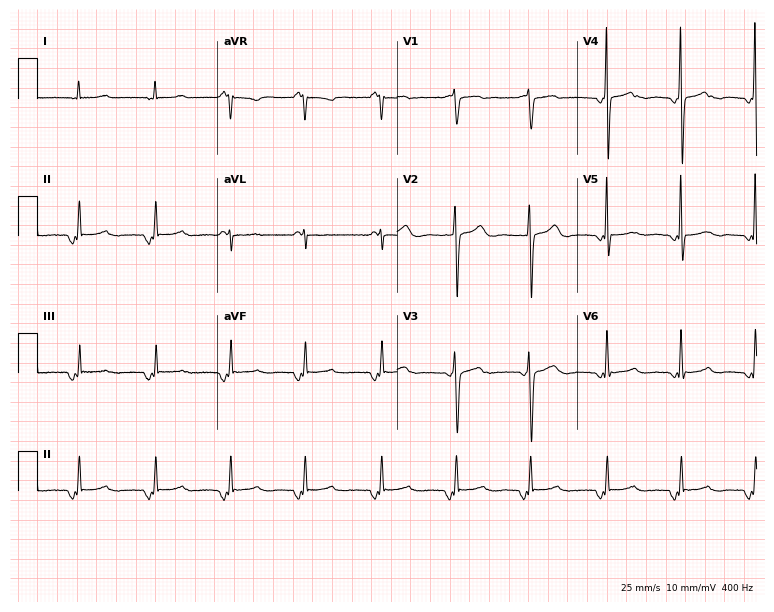
ECG — a female patient, 49 years old. Screened for six findings — first-degree AV block, right bundle branch block (RBBB), left bundle branch block (LBBB), sinus bradycardia, atrial fibrillation (AF), sinus tachycardia — none is recorded. Other findings, if any, are not listed.